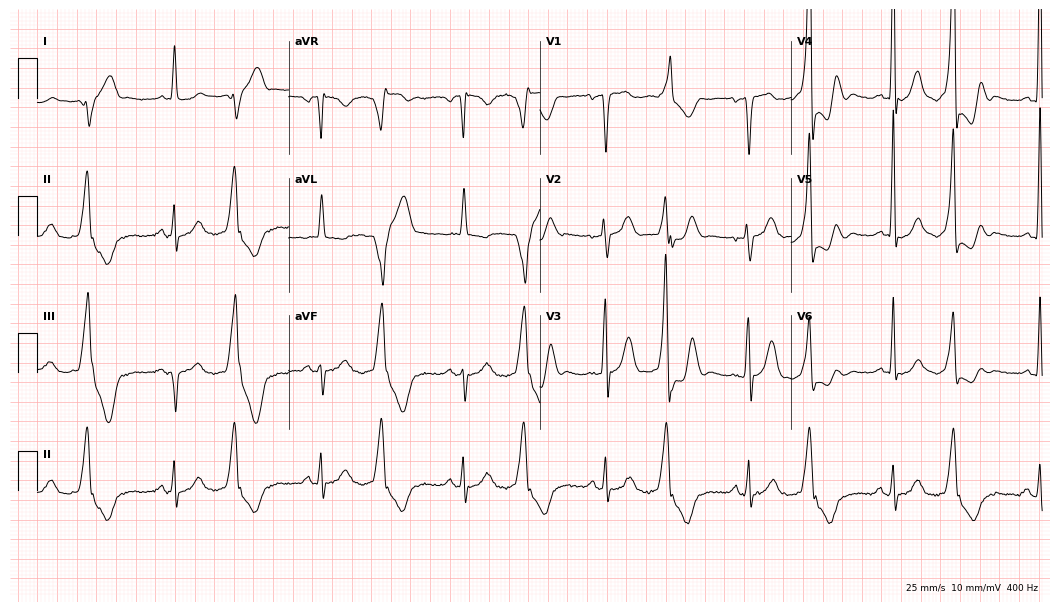
Electrocardiogram, a male patient, 68 years old. Of the six screened findings (first-degree AV block, right bundle branch block, left bundle branch block, sinus bradycardia, atrial fibrillation, sinus tachycardia), none is recorded.